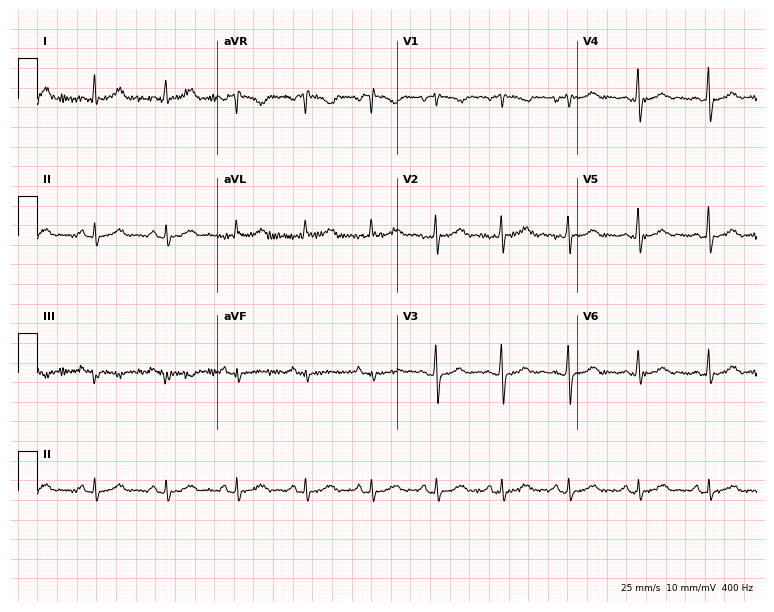
Electrocardiogram (7.3-second recording at 400 Hz), a female patient, 47 years old. Overall reading on record: normal ECG.